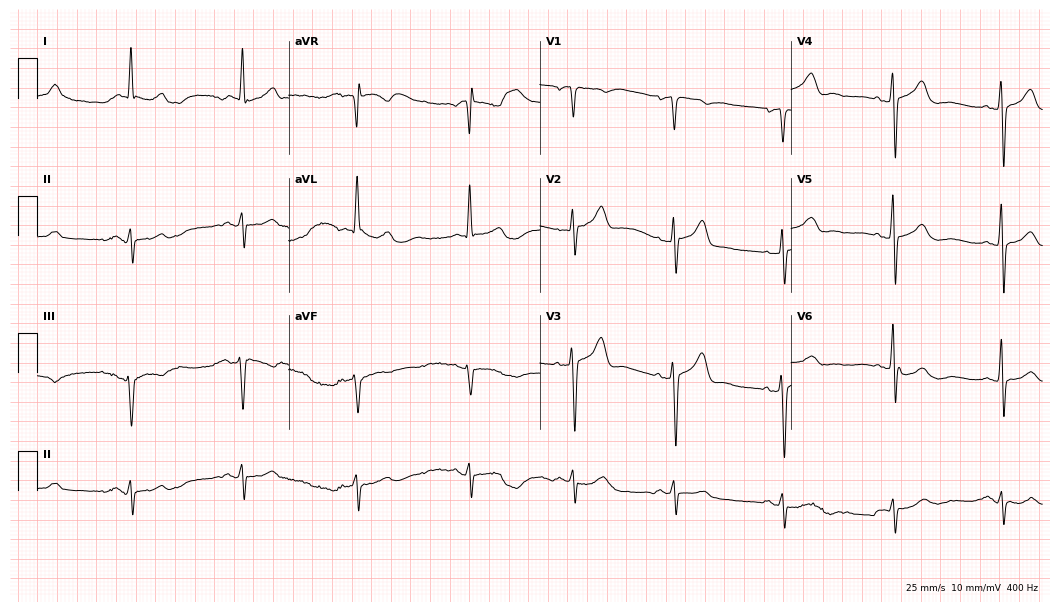
12-lead ECG from a 57-year-old male. No first-degree AV block, right bundle branch block, left bundle branch block, sinus bradycardia, atrial fibrillation or sinus tachycardia recorded for this tracing.